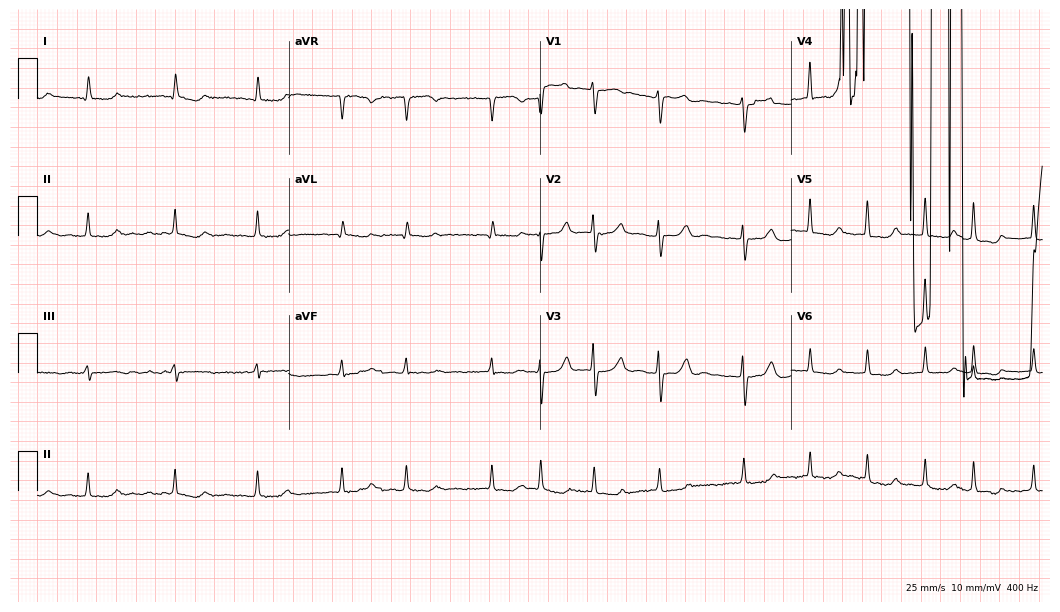
Electrocardiogram, a woman, 77 years old. Interpretation includes atrial fibrillation (AF).